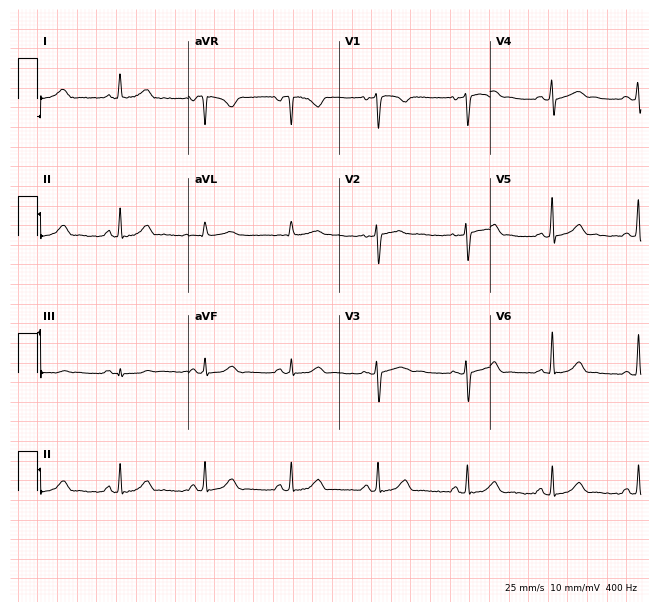
Standard 12-lead ECG recorded from a female, 40 years old. Read as a normal ECG.